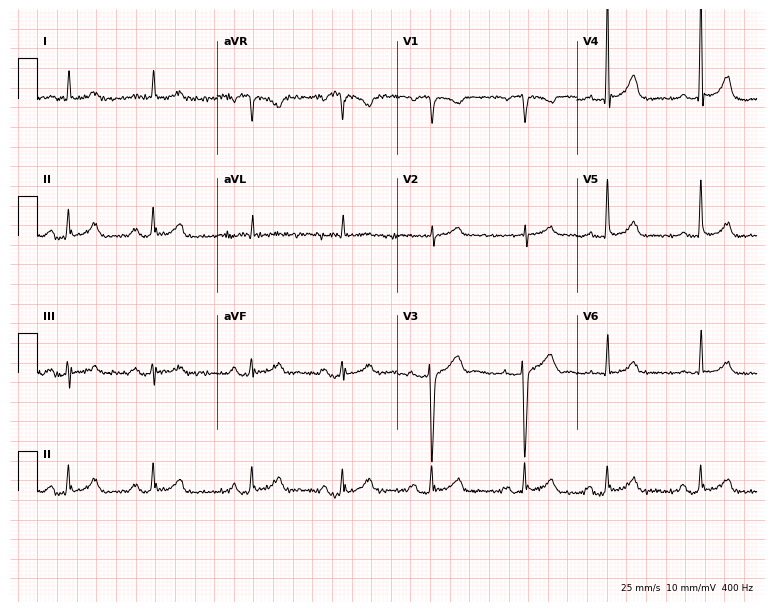
Standard 12-lead ECG recorded from a woman, 71 years old. Read as a normal ECG.